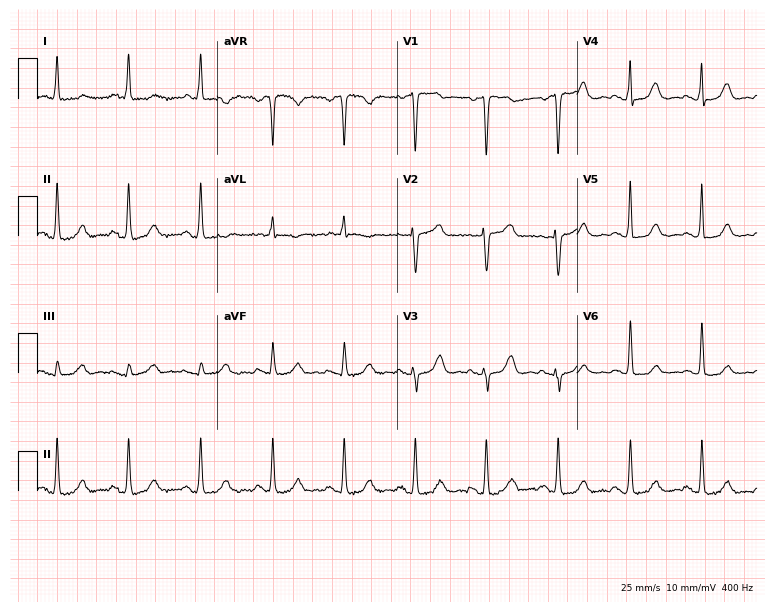
Resting 12-lead electrocardiogram (7.3-second recording at 400 Hz). Patient: a female, 81 years old. Read as a normal ECG.